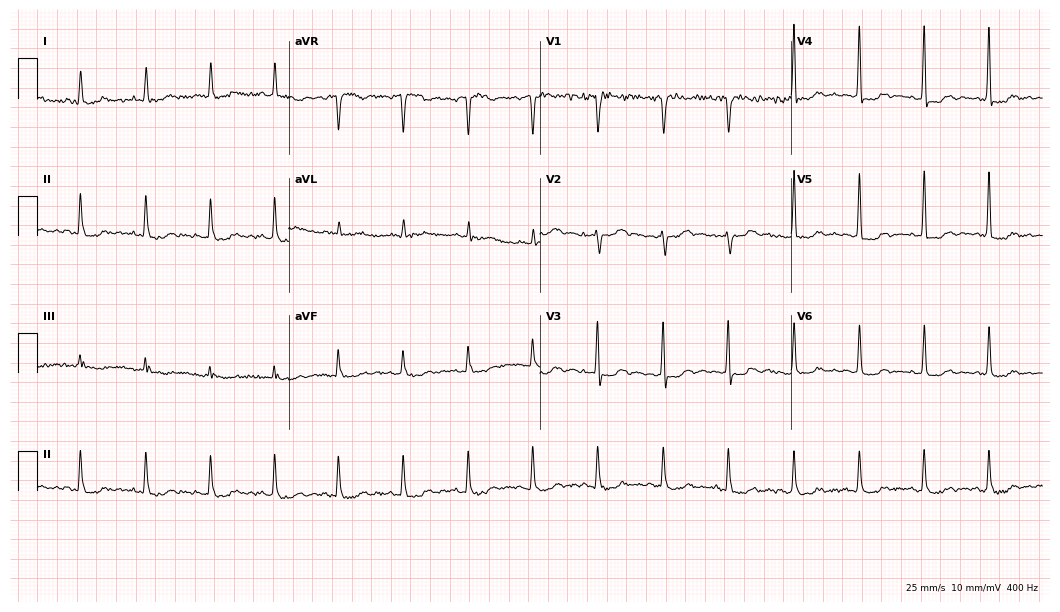
Electrocardiogram (10.2-second recording at 400 Hz), a 69-year-old female patient. Of the six screened findings (first-degree AV block, right bundle branch block, left bundle branch block, sinus bradycardia, atrial fibrillation, sinus tachycardia), none is recorded. Only these six findings were labelled.